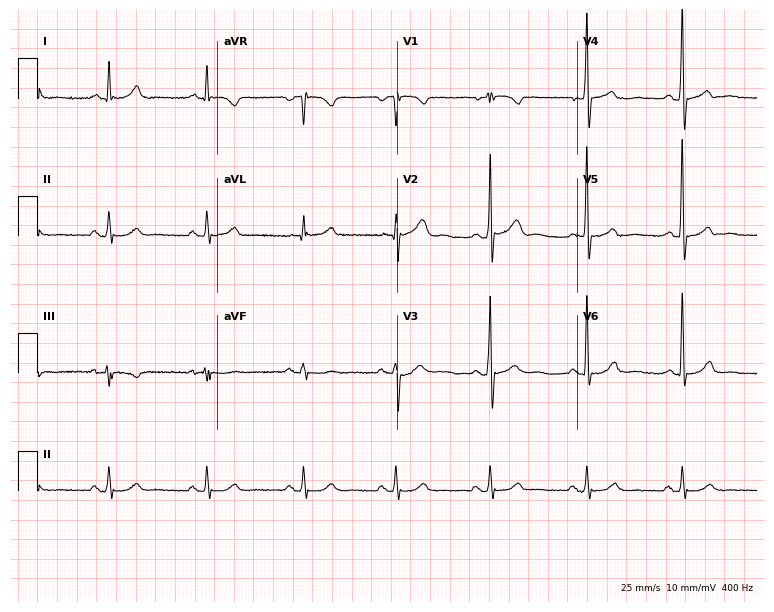
12-lead ECG (7.3-second recording at 400 Hz) from a male patient, 69 years old. Screened for six findings — first-degree AV block, right bundle branch block, left bundle branch block, sinus bradycardia, atrial fibrillation, sinus tachycardia — none is recorded. Only these six findings were labelled.